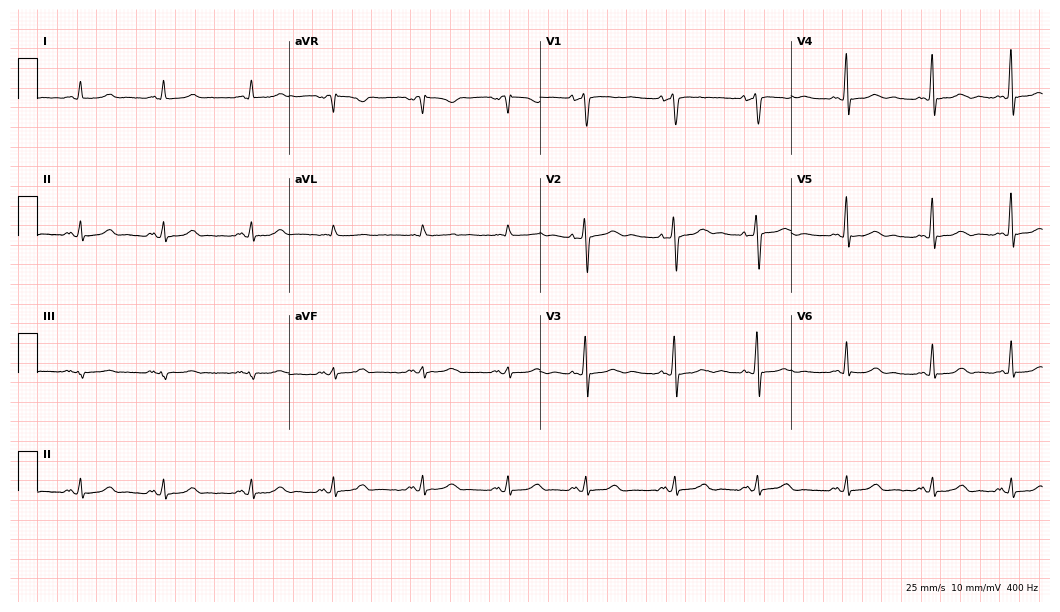
12-lead ECG from a 66-year-old female patient (10.2-second recording at 400 Hz). No first-degree AV block, right bundle branch block (RBBB), left bundle branch block (LBBB), sinus bradycardia, atrial fibrillation (AF) or sinus tachycardia recorded for this tracing. Findings outside these six are not listed.